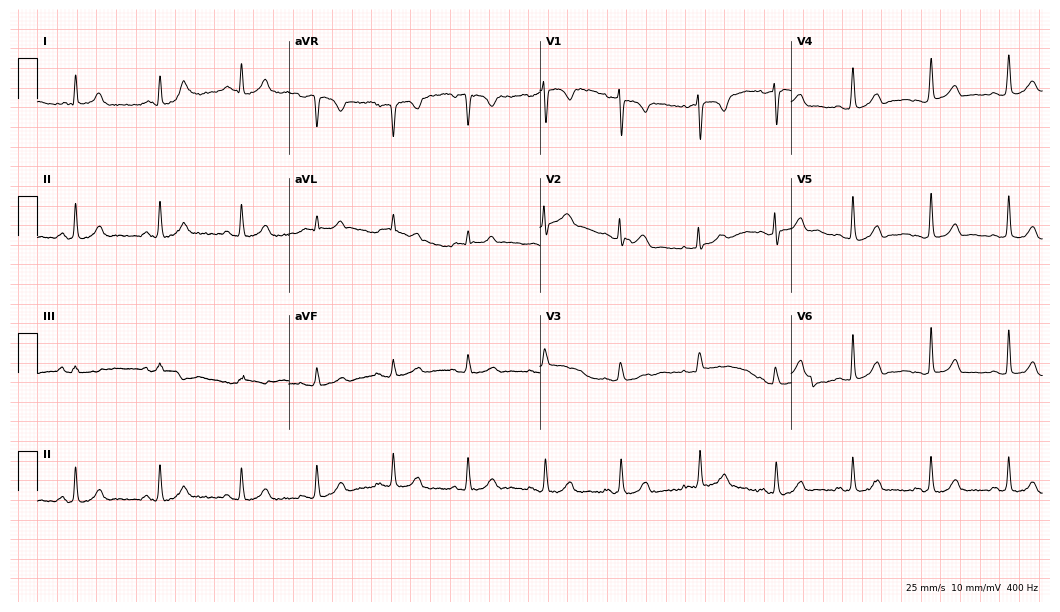
Standard 12-lead ECG recorded from a 28-year-old female patient. Read as a normal ECG.